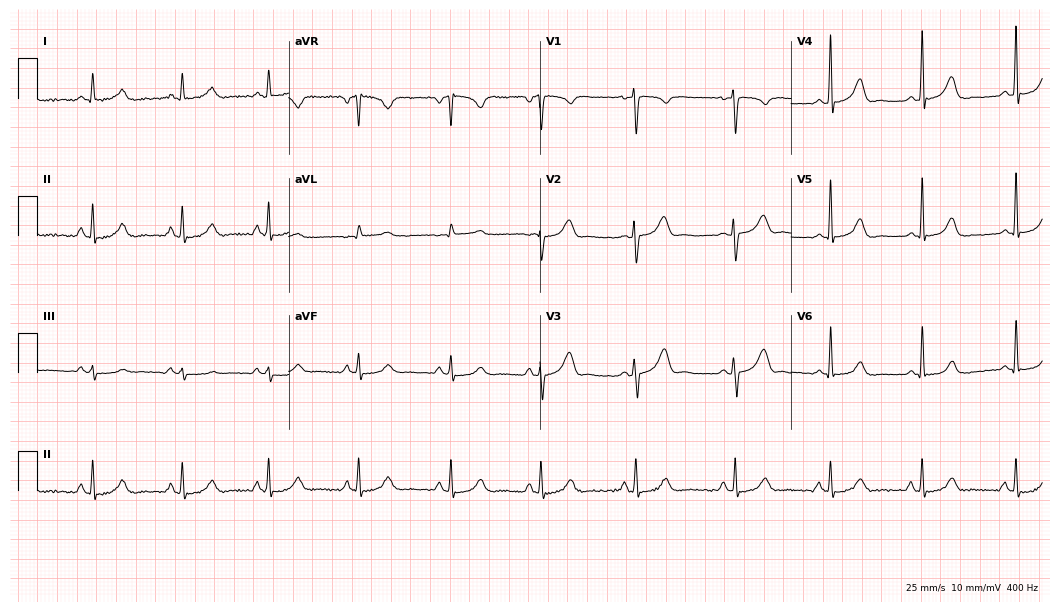
Electrocardiogram, a woman, 39 years old. Of the six screened findings (first-degree AV block, right bundle branch block, left bundle branch block, sinus bradycardia, atrial fibrillation, sinus tachycardia), none is recorded.